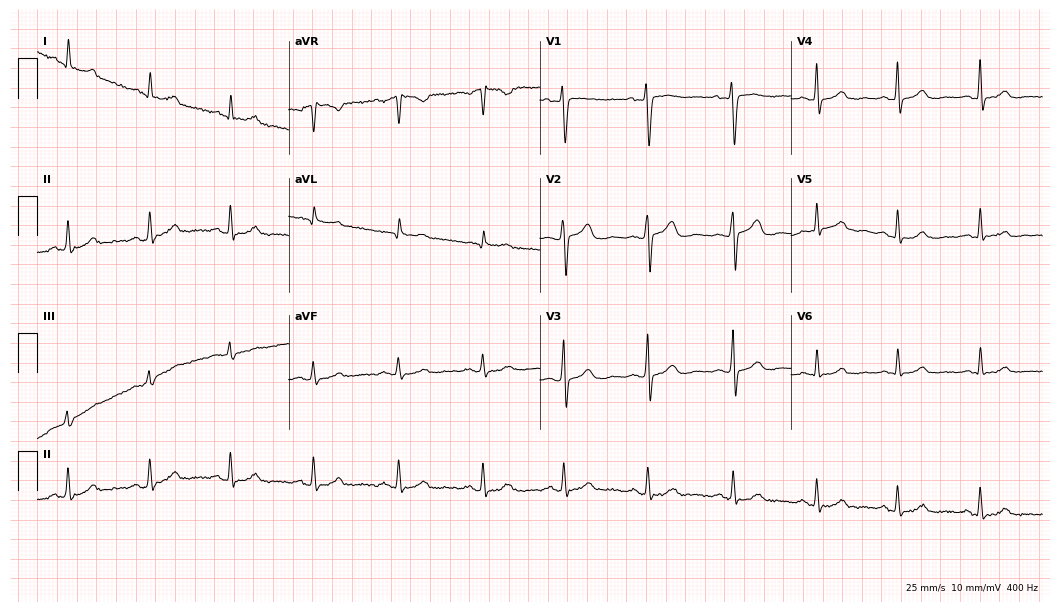
Standard 12-lead ECG recorded from a 41-year-old female patient (10.2-second recording at 400 Hz). None of these six findings is recorded: first-degree AV block, right bundle branch block (RBBB), left bundle branch block (LBBB), sinus bradycardia, atrial fibrillation (AF), sinus tachycardia. Only these six findings were labelled.